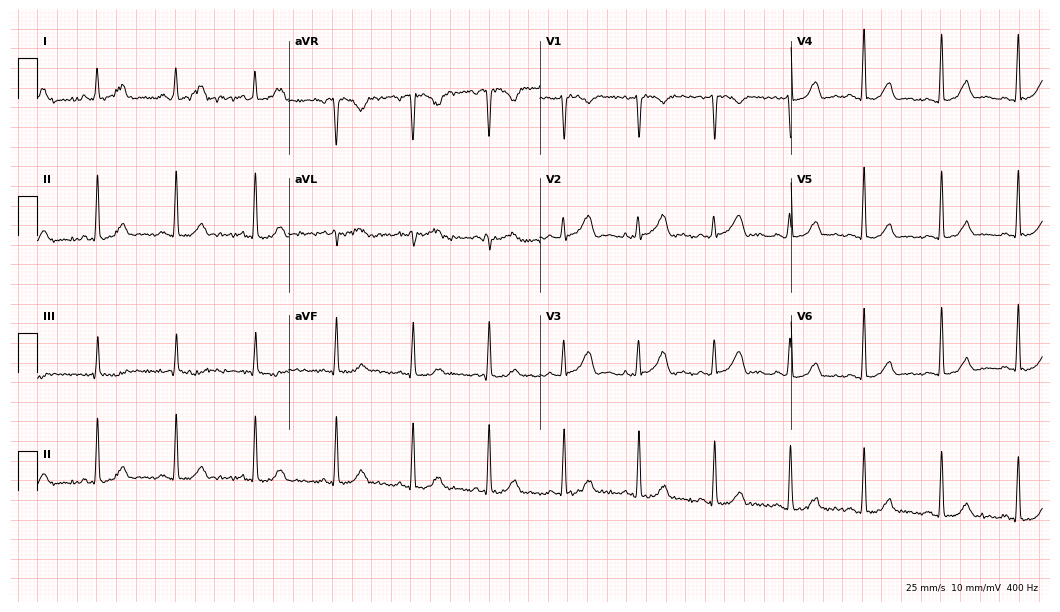
Electrocardiogram (10.2-second recording at 400 Hz), a female, 37 years old. Of the six screened findings (first-degree AV block, right bundle branch block, left bundle branch block, sinus bradycardia, atrial fibrillation, sinus tachycardia), none is recorded.